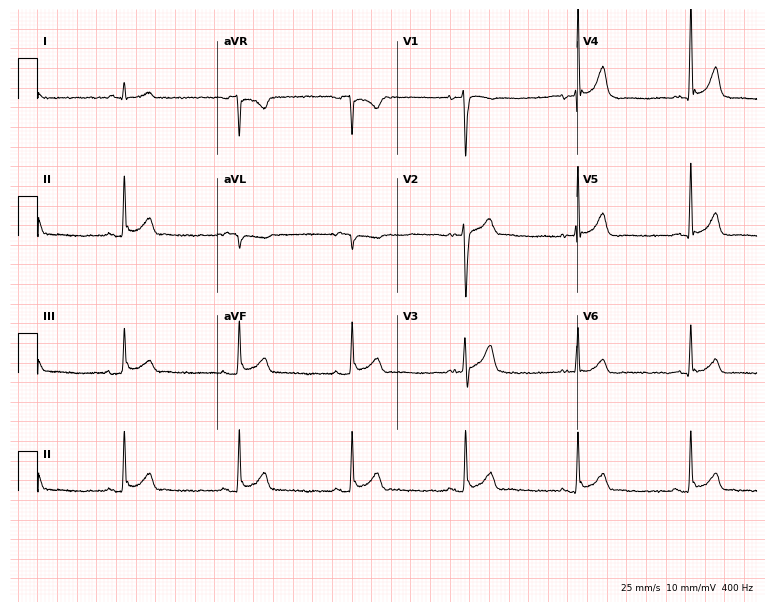
Standard 12-lead ECG recorded from a man, 40 years old. None of these six findings is recorded: first-degree AV block, right bundle branch block (RBBB), left bundle branch block (LBBB), sinus bradycardia, atrial fibrillation (AF), sinus tachycardia. Only these six findings were labelled.